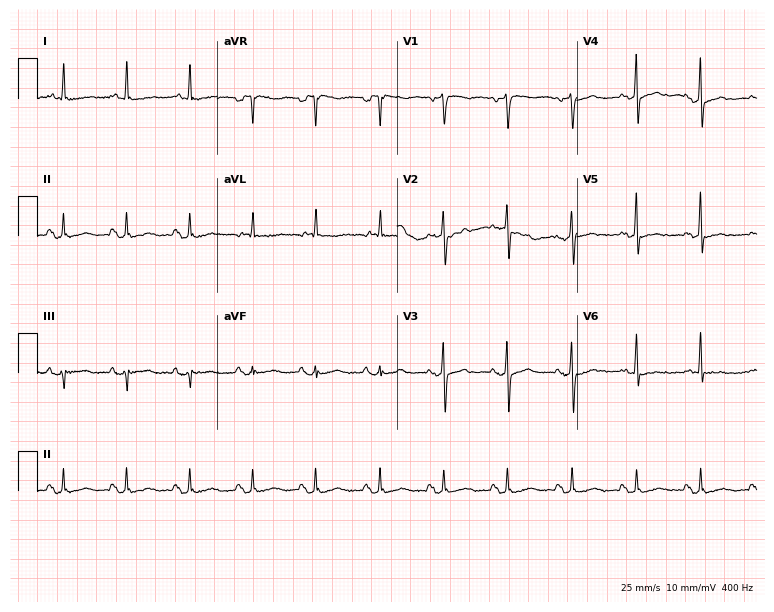
12-lead ECG from a 61-year-old female (7.3-second recording at 400 Hz). No first-degree AV block, right bundle branch block, left bundle branch block, sinus bradycardia, atrial fibrillation or sinus tachycardia recorded for this tracing.